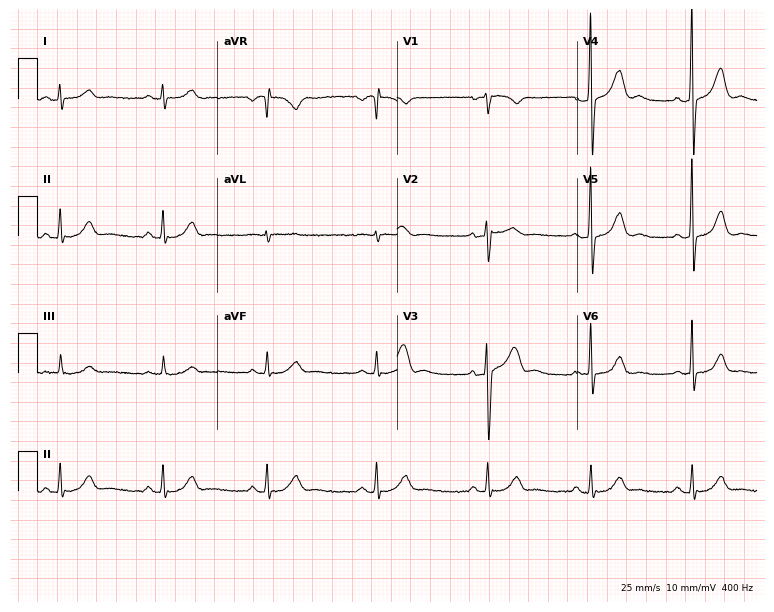
Standard 12-lead ECG recorded from a man, 33 years old (7.3-second recording at 400 Hz). Read as a normal ECG.